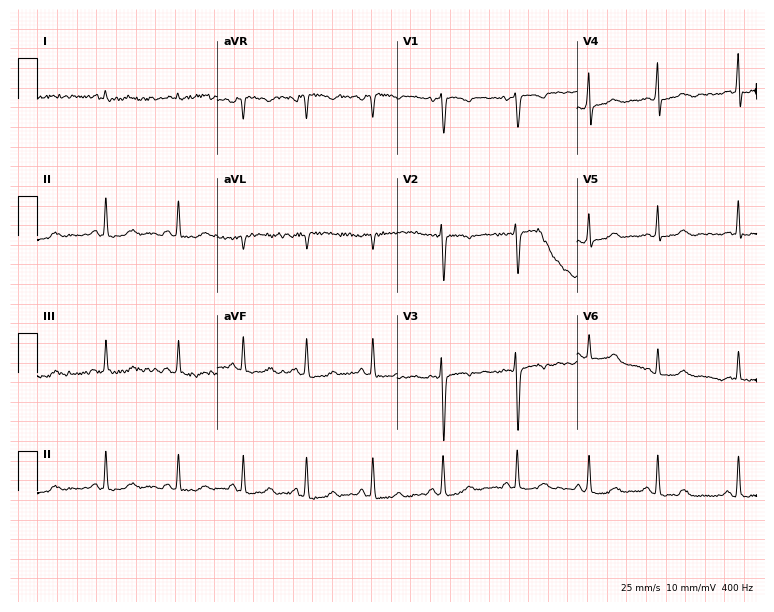
Resting 12-lead electrocardiogram. Patient: a female, 22 years old. None of these six findings is recorded: first-degree AV block, right bundle branch block, left bundle branch block, sinus bradycardia, atrial fibrillation, sinus tachycardia.